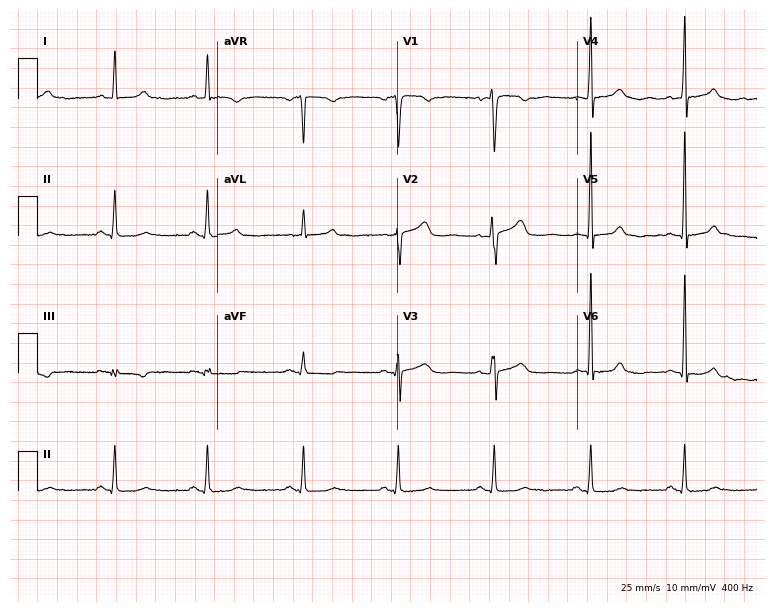
Standard 12-lead ECG recorded from a 42-year-old female patient. Read as a normal ECG.